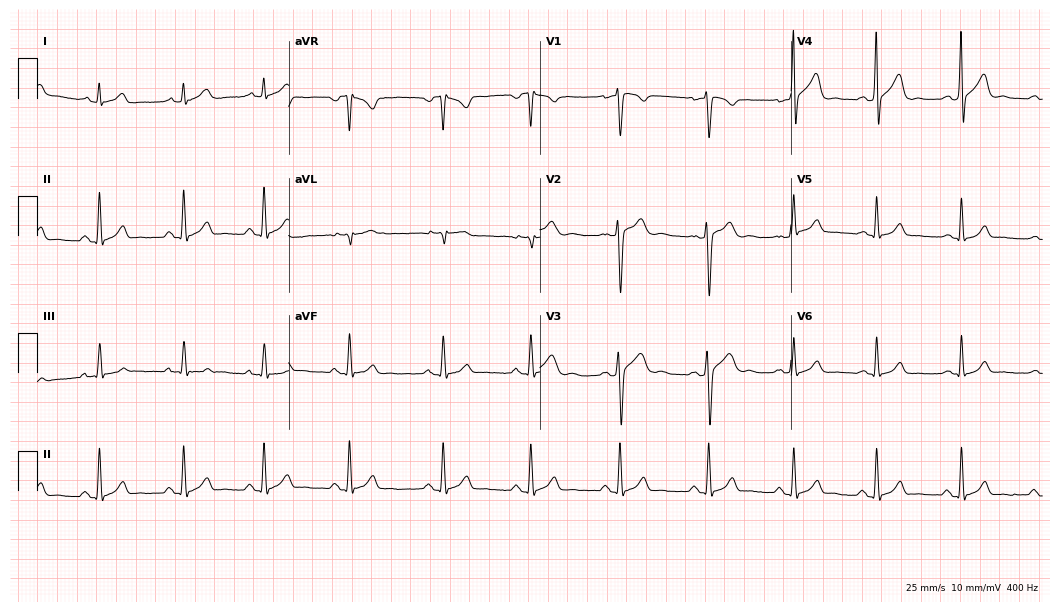
12-lead ECG (10.2-second recording at 400 Hz) from a man, 21 years old. Labelled as a normal ECG.